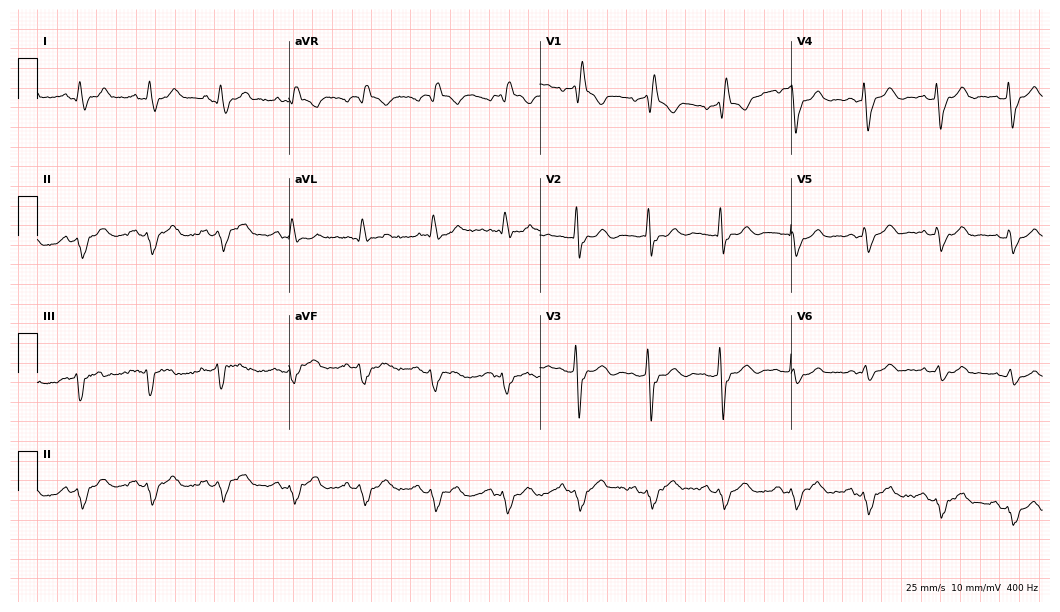
12-lead ECG from a male patient, 73 years old. Findings include right bundle branch block (RBBB).